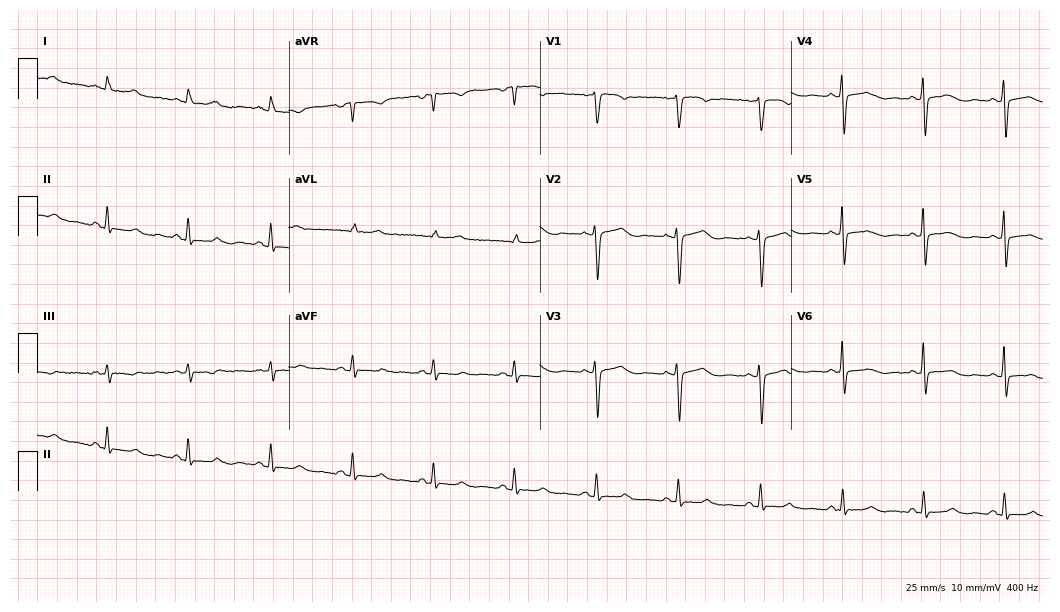
Electrocardiogram, a 58-year-old woman. Of the six screened findings (first-degree AV block, right bundle branch block, left bundle branch block, sinus bradycardia, atrial fibrillation, sinus tachycardia), none is recorded.